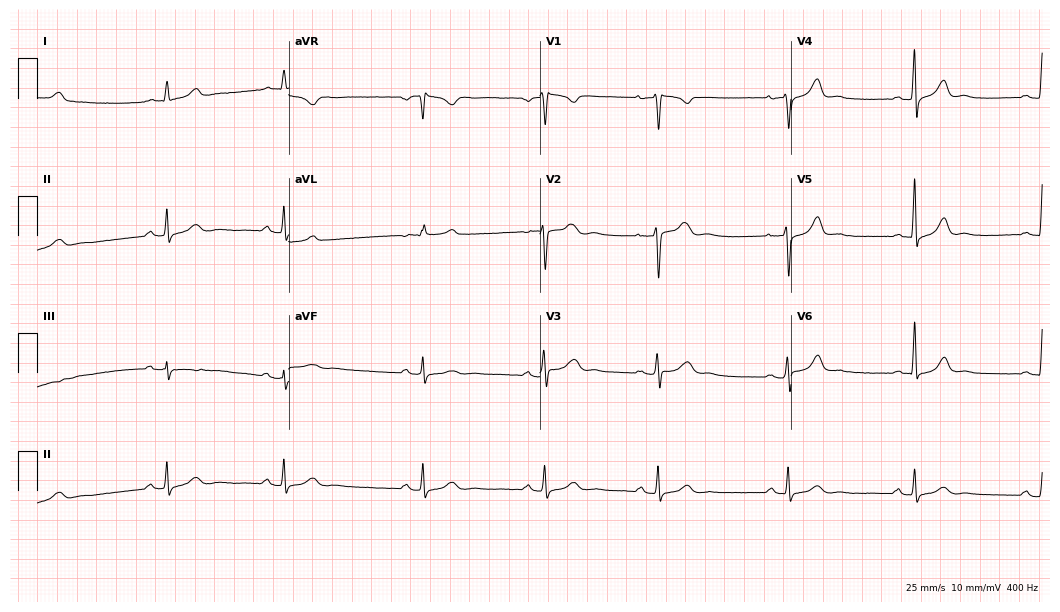
Resting 12-lead electrocardiogram (10.2-second recording at 400 Hz). Patient: a 33-year-old female. Read as a normal ECG.